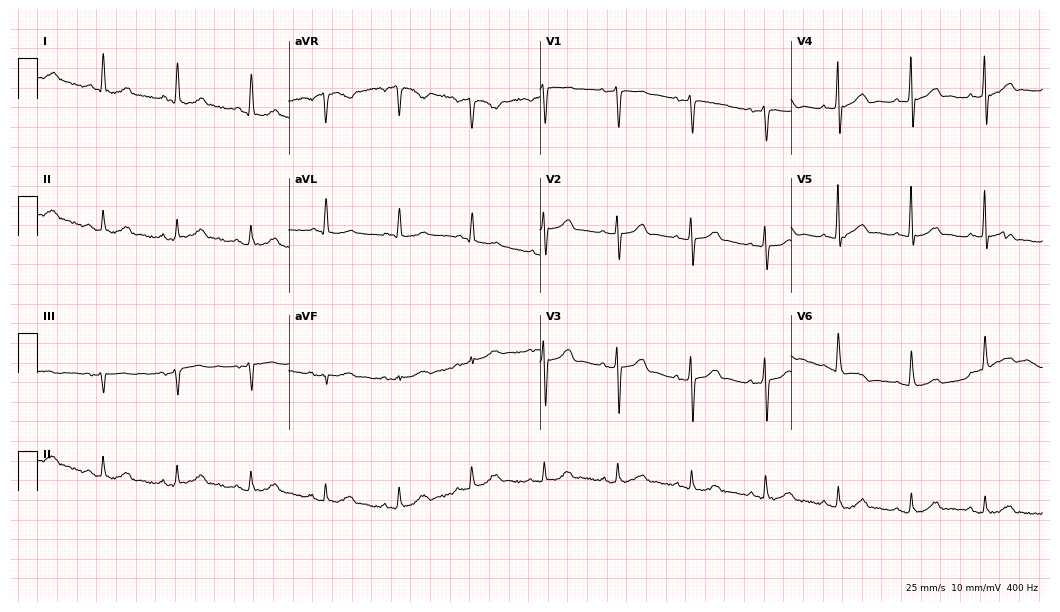
12-lead ECG from a 71-year-old woman. Labelled as a normal ECG.